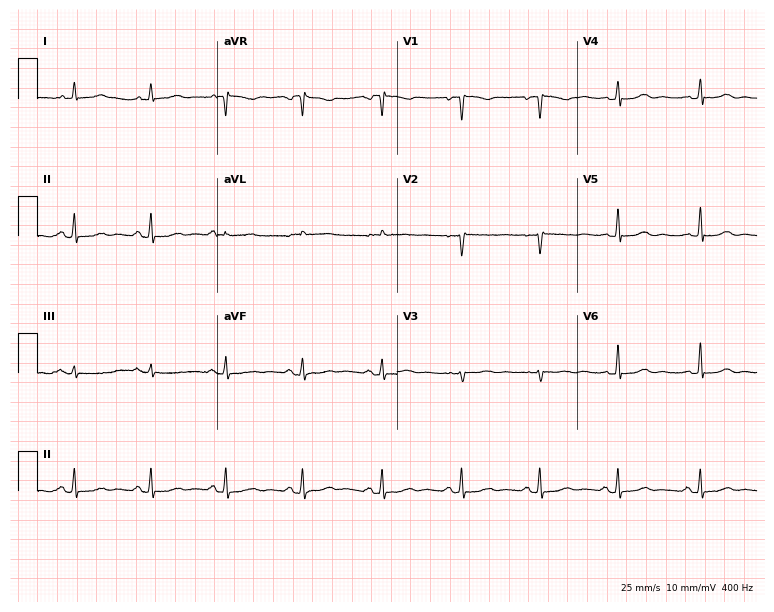
ECG — a 44-year-old woman. Screened for six findings — first-degree AV block, right bundle branch block (RBBB), left bundle branch block (LBBB), sinus bradycardia, atrial fibrillation (AF), sinus tachycardia — none is recorded. Findings outside these six are not listed.